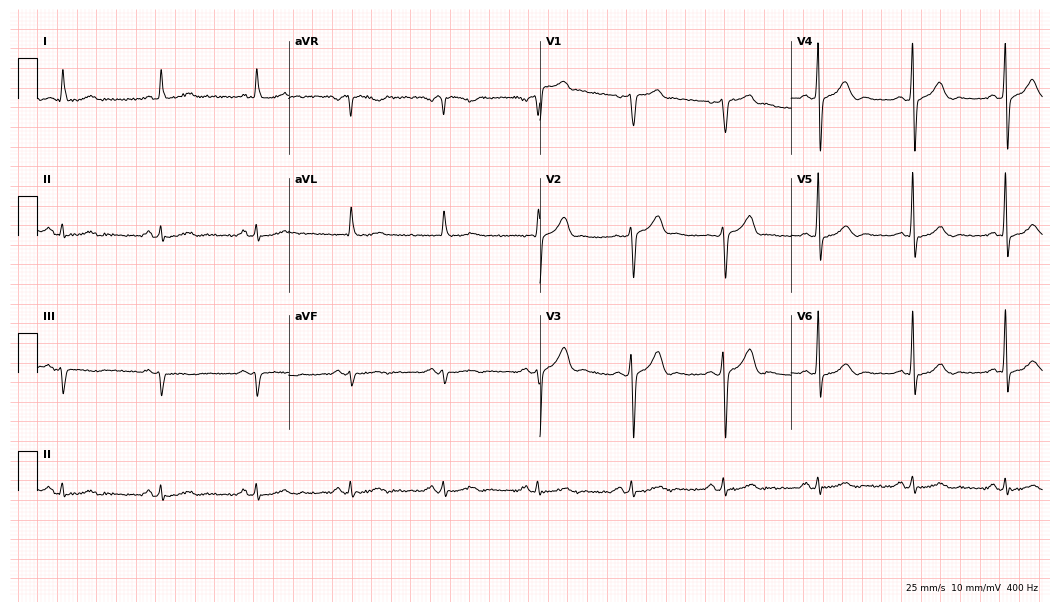
ECG — a man, 83 years old. Labelled as a normal ECG.